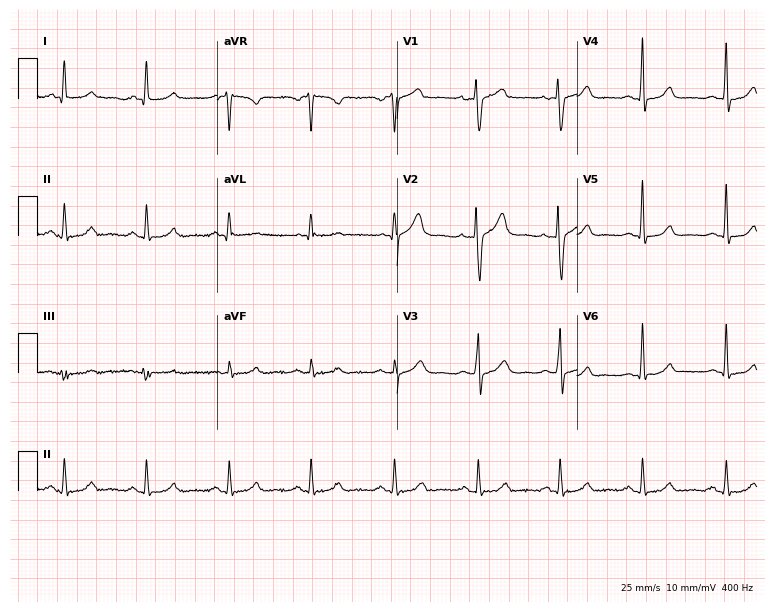
ECG (7.3-second recording at 400 Hz) — a female patient, 49 years old. Labelled as a normal ECG.